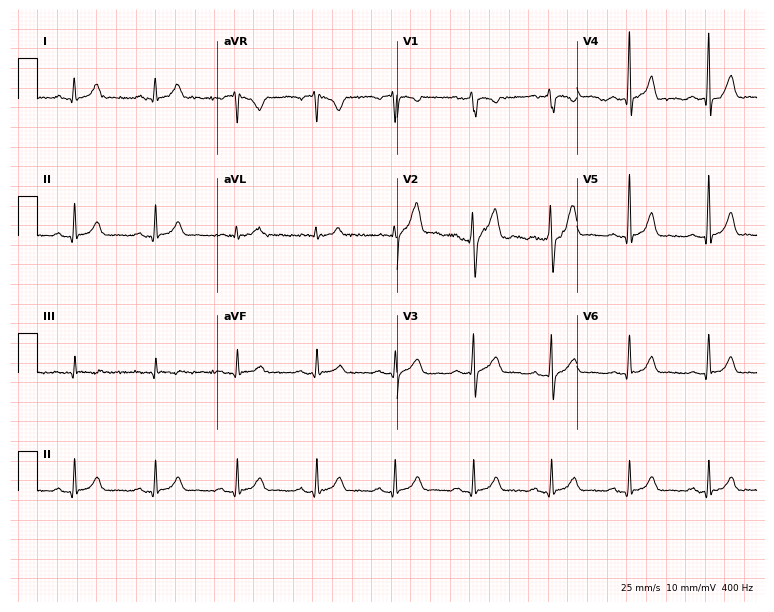
Resting 12-lead electrocardiogram (7.3-second recording at 400 Hz). Patient: a 52-year-old male. None of these six findings is recorded: first-degree AV block, right bundle branch block, left bundle branch block, sinus bradycardia, atrial fibrillation, sinus tachycardia. Other findings, if any, are not listed.